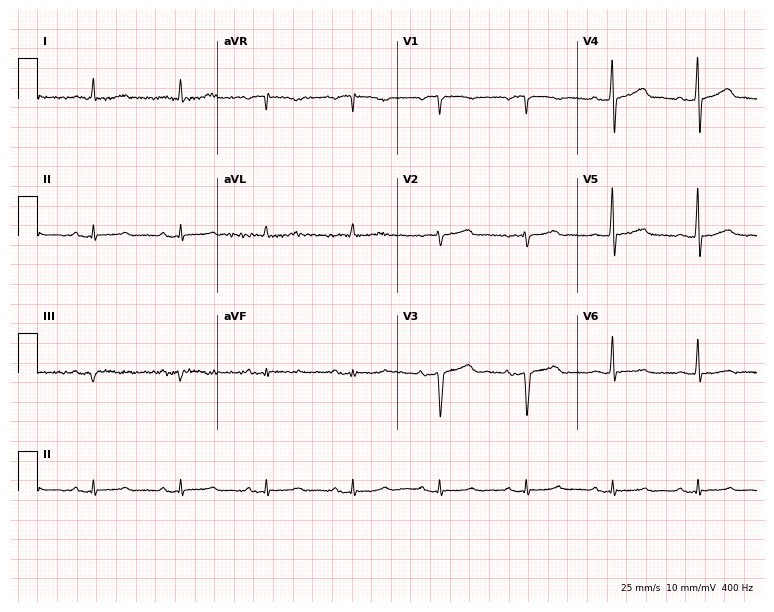
Standard 12-lead ECG recorded from a 79-year-old man. None of these six findings is recorded: first-degree AV block, right bundle branch block (RBBB), left bundle branch block (LBBB), sinus bradycardia, atrial fibrillation (AF), sinus tachycardia.